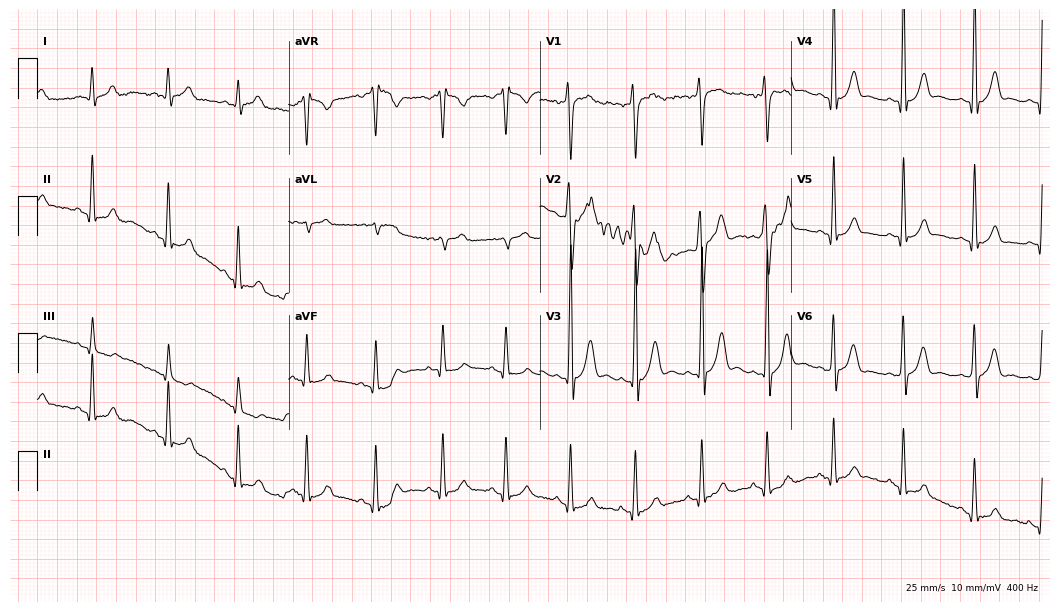
12-lead ECG (10.2-second recording at 400 Hz) from a 22-year-old male. Labelled as a normal ECG.